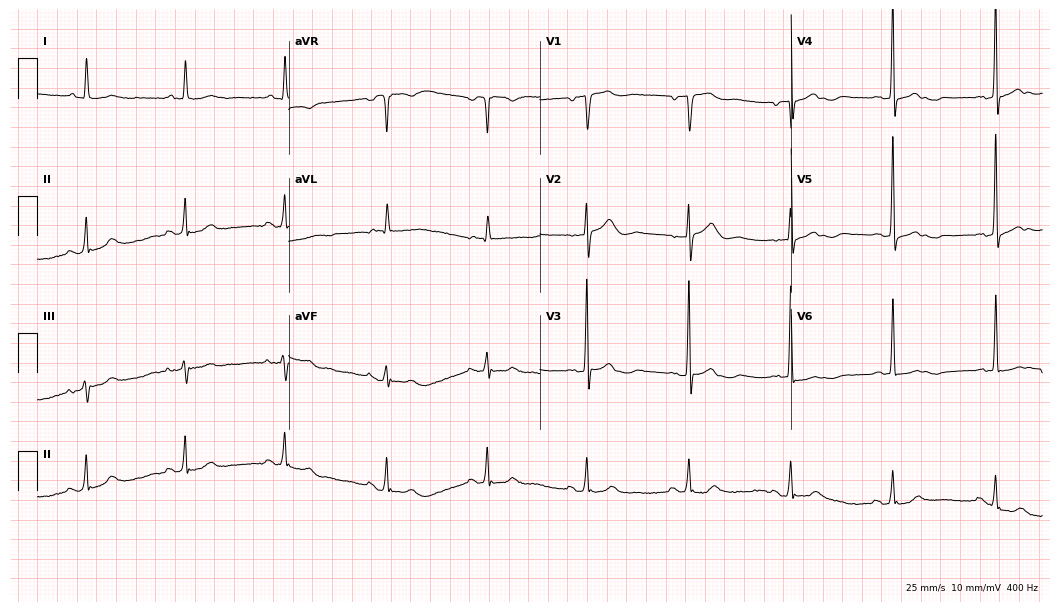
Resting 12-lead electrocardiogram (10.2-second recording at 400 Hz). Patient: a female, 76 years old. None of these six findings is recorded: first-degree AV block, right bundle branch block, left bundle branch block, sinus bradycardia, atrial fibrillation, sinus tachycardia.